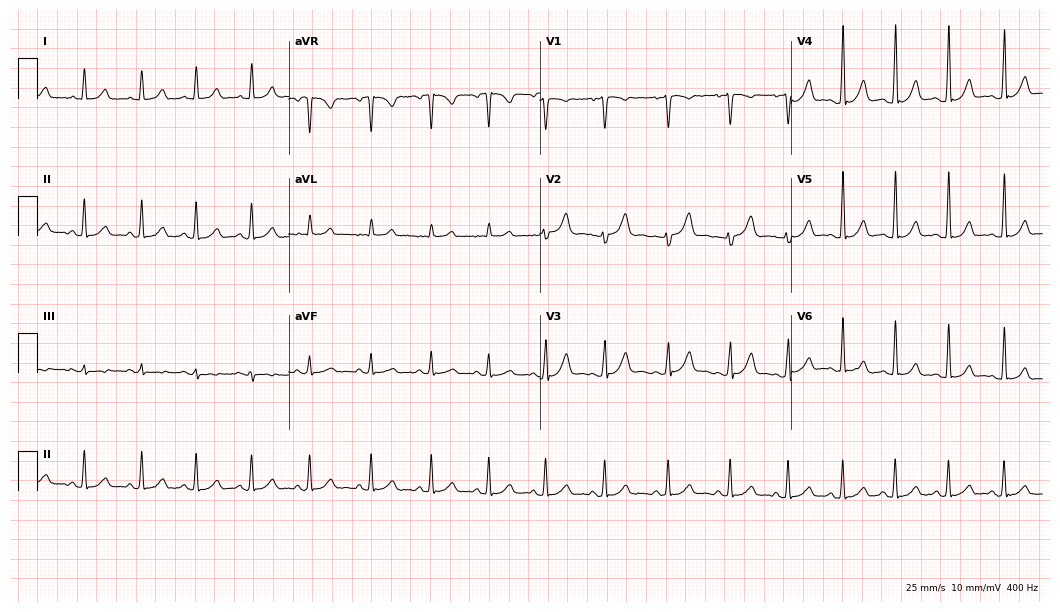
ECG (10.2-second recording at 400 Hz) — a female, 28 years old. Labelled as a normal ECG.